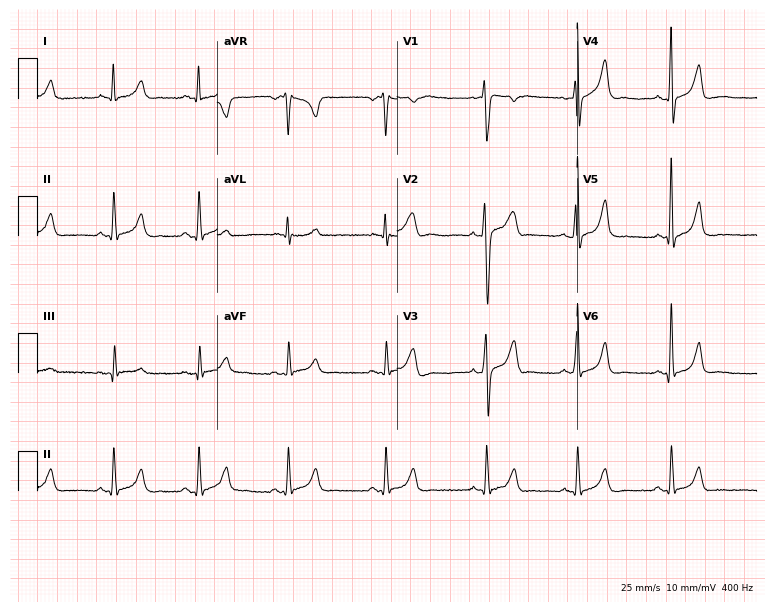
ECG (7.3-second recording at 400 Hz) — a man, 38 years old. Screened for six findings — first-degree AV block, right bundle branch block, left bundle branch block, sinus bradycardia, atrial fibrillation, sinus tachycardia — none is recorded.